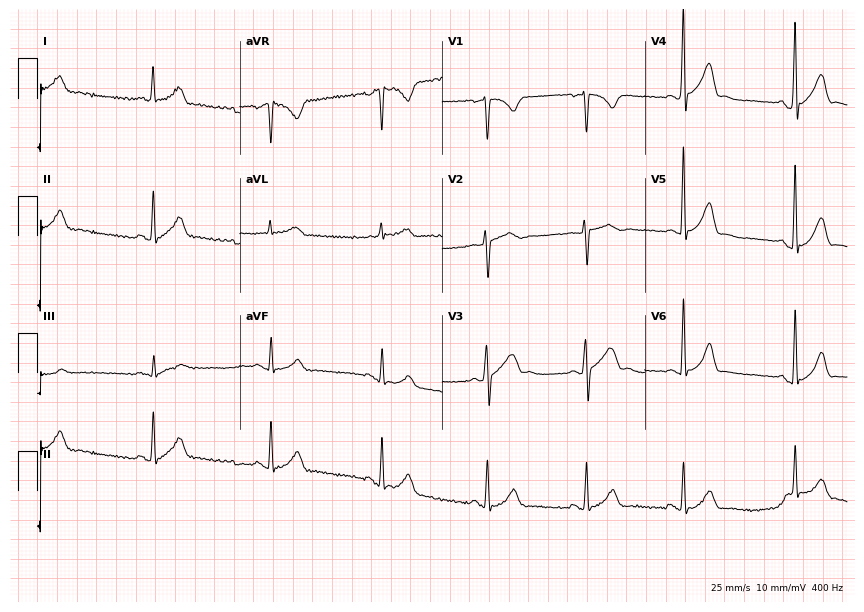
12-lead ECG from a male patient, 31 years old (8.3-second recording at 400 Hz). Recorded interpretation: within normal limits.